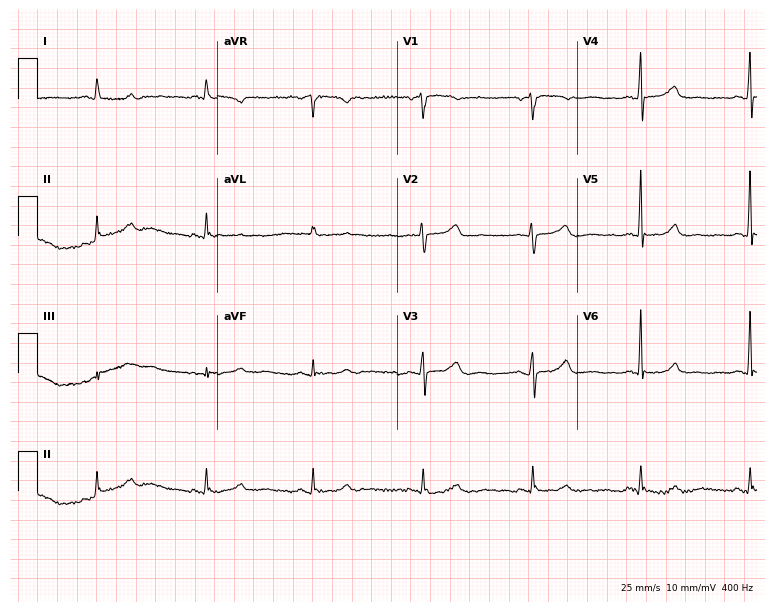
12-lead ECG from a woman, 69 years old (7.3-second recording at 400 Hz). Recorded interpretation: within normal limits.